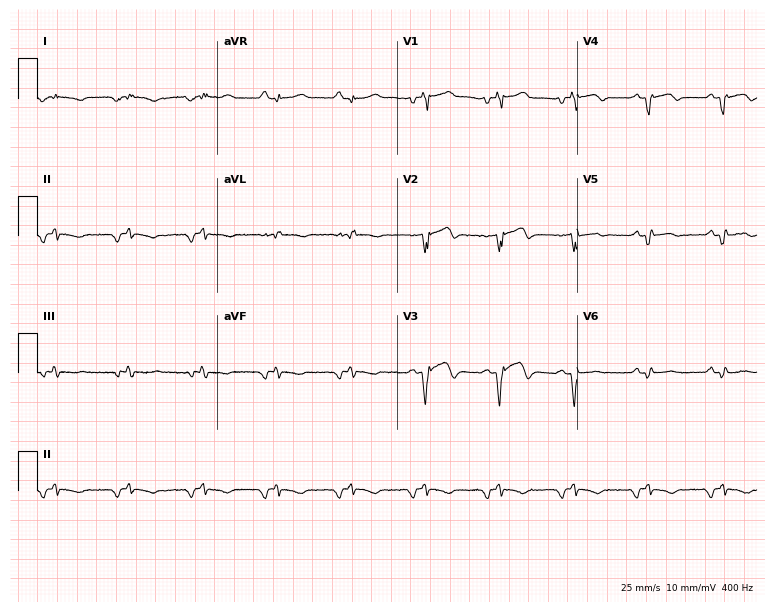
12-lead ECG from an 84-year-old male patient. Screened for six findings — first-degree AV block, right bundle branch block, left bundle branch block, sinus bradycardia, atrial fibrillation, sinus tachycardia — none is recorded. Other findings, if any, are not listed.